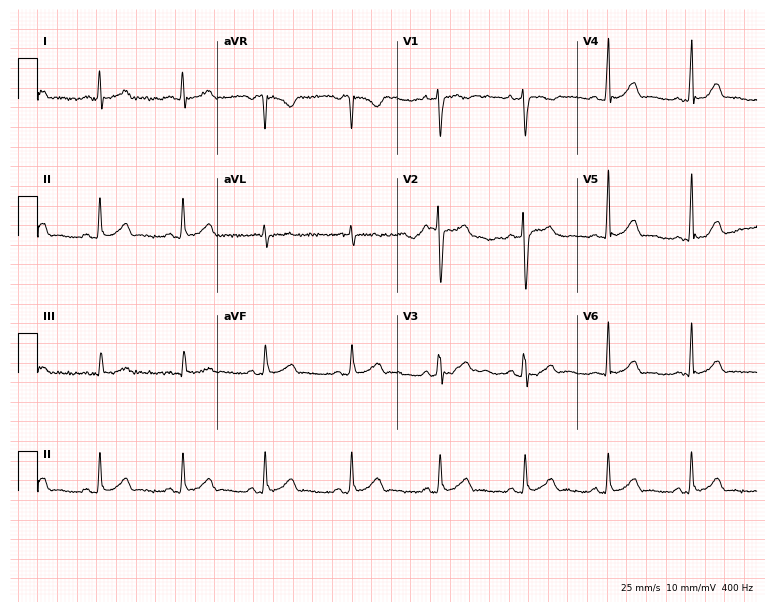
Standard 12-lead ECG recorded from a 32-year-old male. Read as a normal ECG.